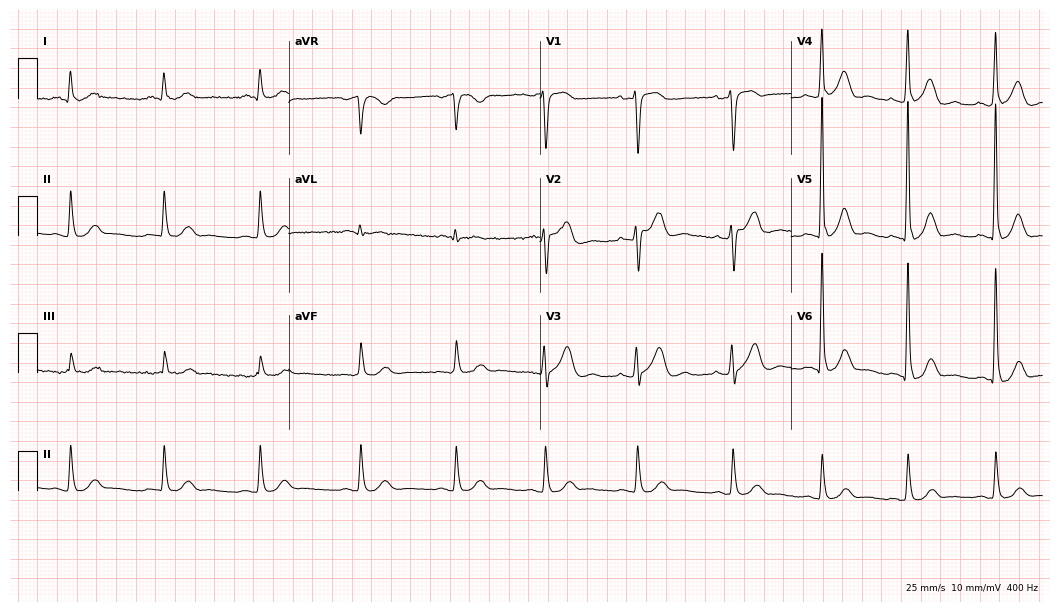
Electrocardiogram (10.2-second recording at 400 Hz), a 69-year-old man. Of the six screened findings (first-degree AV block, right bundle branch block, left bundle branch block, sinus bradycardia, atrial fibrillation, sinus tachycardia), none is recorded. Other findings, if any, are not listed.